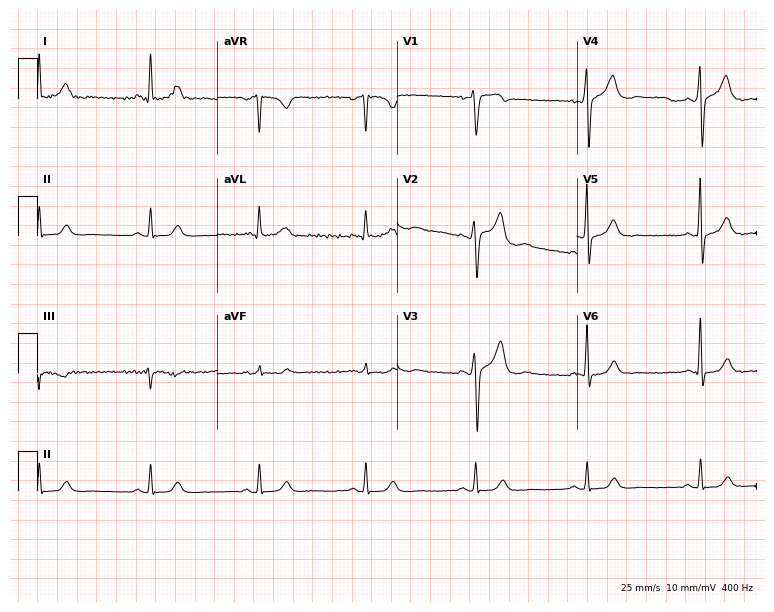
Resting 12-lead electrocardiogram. Patient: a man, 48 years old. None of these six findings is recorded: first-degree AV block, right bundle branch block, left bundle branch block, sinus bradycardia, atrial fibrillation, sinus tachycardia.